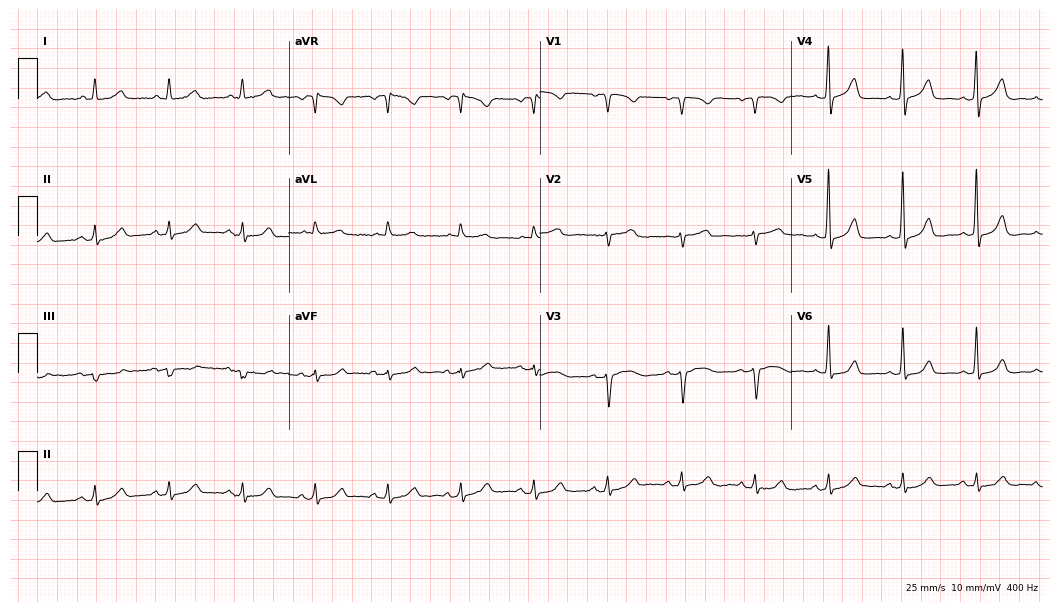
ECG — a 68-year-old woman. Labelled as a normal ECG.